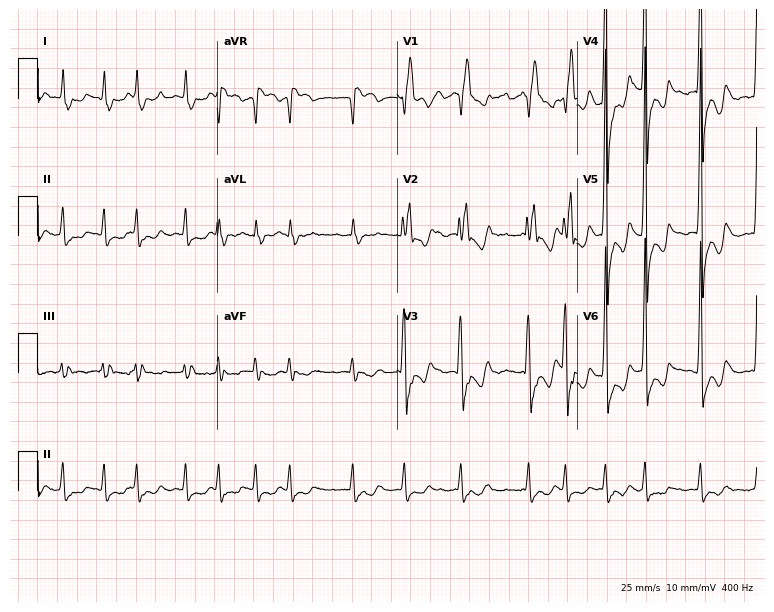
Resting 12-lead electrocardiogram (7.3-second recording at 400 Hz). Patient: a male, 83 years old. The tracing shows atrial fibrillation.